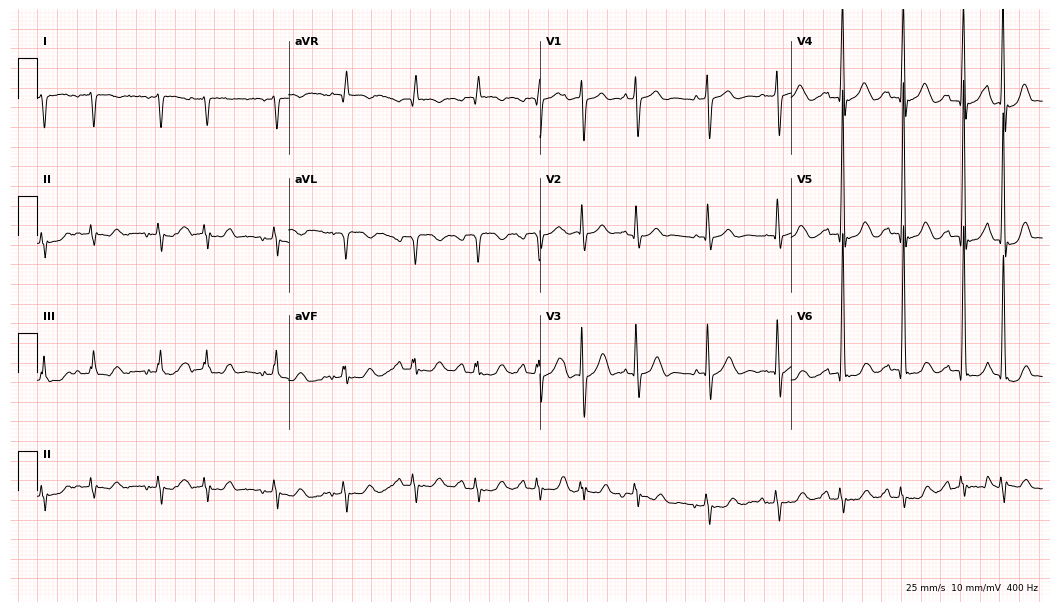
12-lead ECG from an 82-year-old female. No first-degree AV block, right bundle branch block, left bundle branch block, sinus bradycardia, atrial fibrillation or sinus tachycardia recorded for this tracing. Only these six findings were labelled.